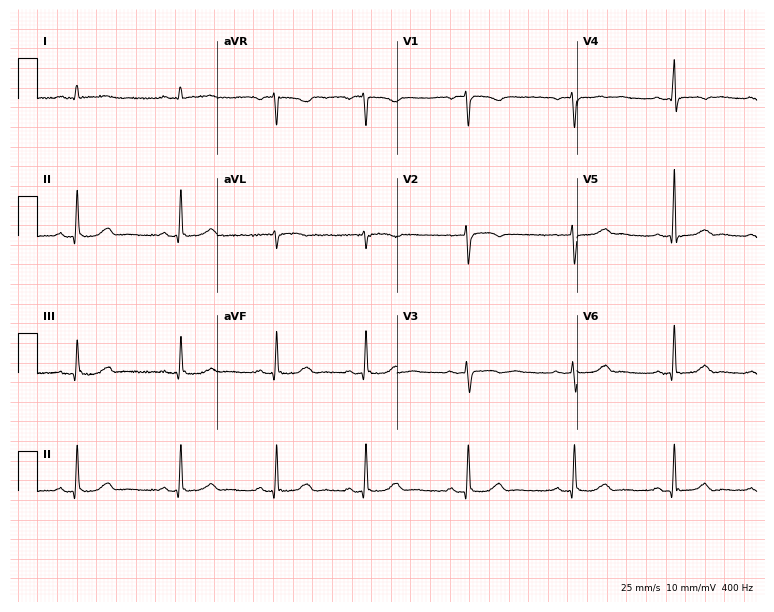
ECG (7.3-second recording at 400 Hz) — a 44-year-old female patient. Screened for six findings — first-degree AV block, right bundle branch block, left bundle branch block, sinus bradycardia, atrial fibrillation, sinus tachycardia — none is recorded. Findings outside these six are not listed.